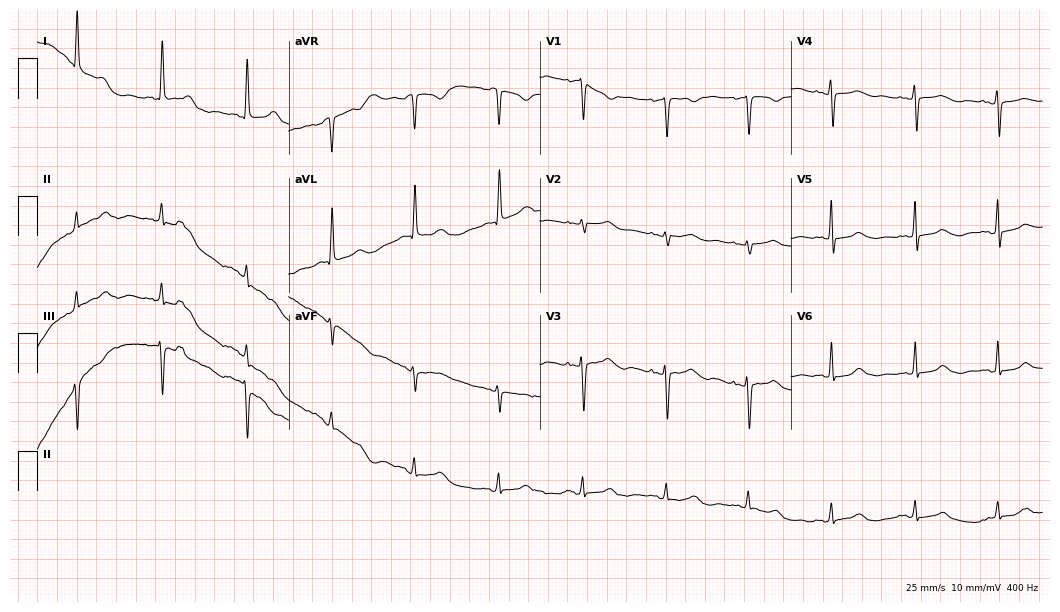
Resting 12-lead electrocardiogram (10.2-second recording at 400 Hz). Patient: an 82-year-old woman. None of these six findings is recorded: first-degree AV block, right bundle branch block, left bundle branch block, sinus bradycardia, atrial fibrillation, sinus tachycardia.